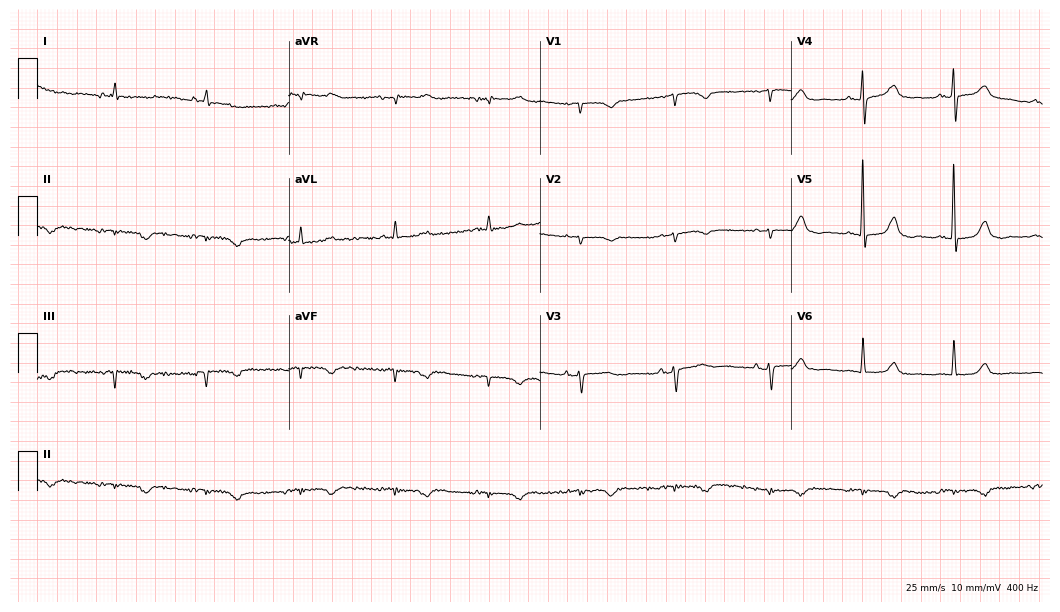
Resting 12-lead electrocardiogram. Patient: an 81-year-old female. None of these six findings is recorded: first-degree AV block, right bundle branch block (RBBB), left bundle branch block (LBBB), sinus bradycardia, atrial fibrillation (AF), sinus tachycardia.